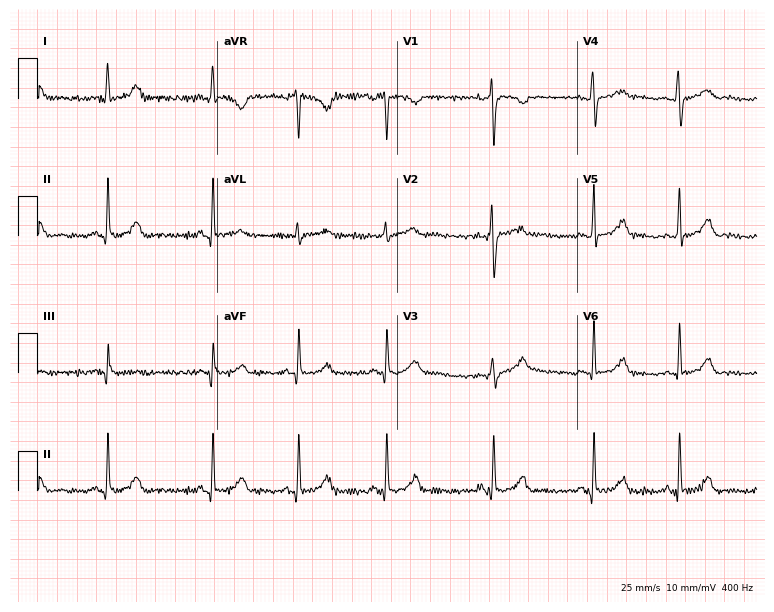
ECG — a female patient, 30 years old. Labelled as a normal ECG.